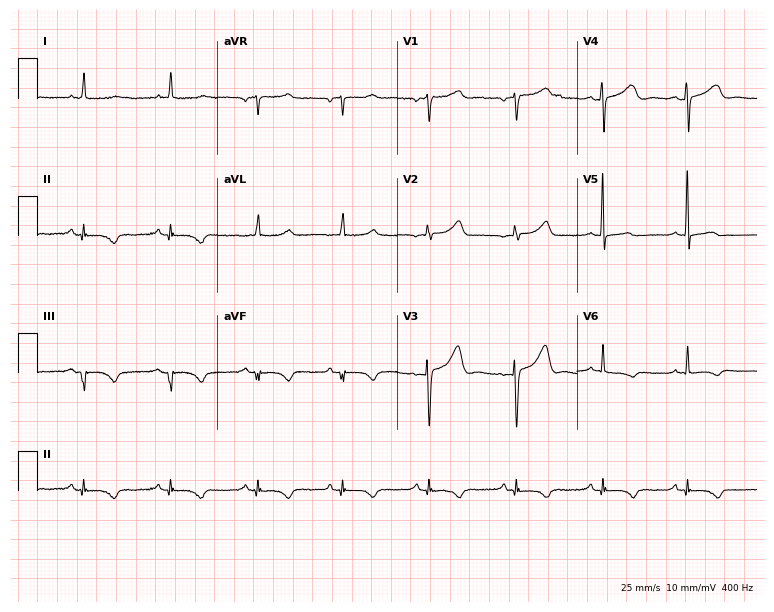
12-lead ECG (7.3-second recording at 400 Hz) from a female patient, 84 years old. Screened for six findings — first-degree AV block, right bundle branch block (RBBB), left bundle branch block (LBBB), sinus bradycardia, atrial fibrillation (AF), sinus tachycardia — none is recorded.